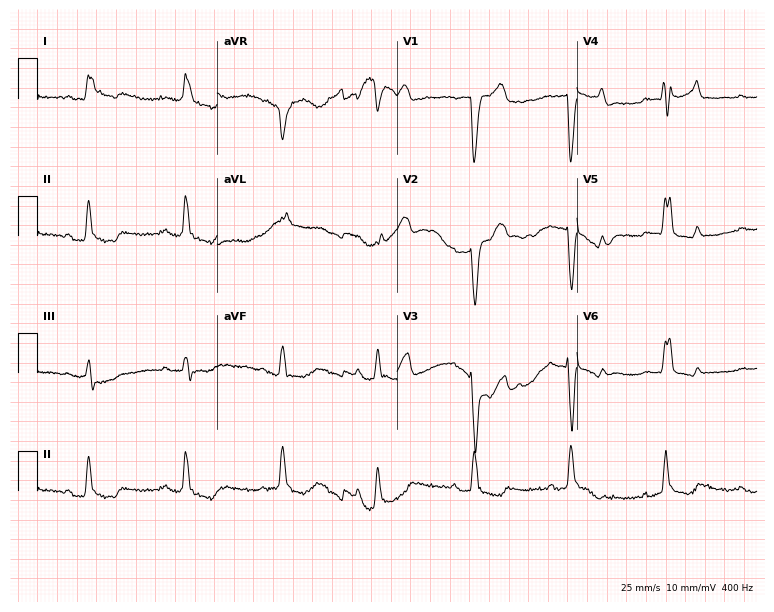
Resting 12-lead electrocardiogram (7.3-second recording at 400 Hz). Patient: a man, 79 years old. The tracing shows left bundle branch block.